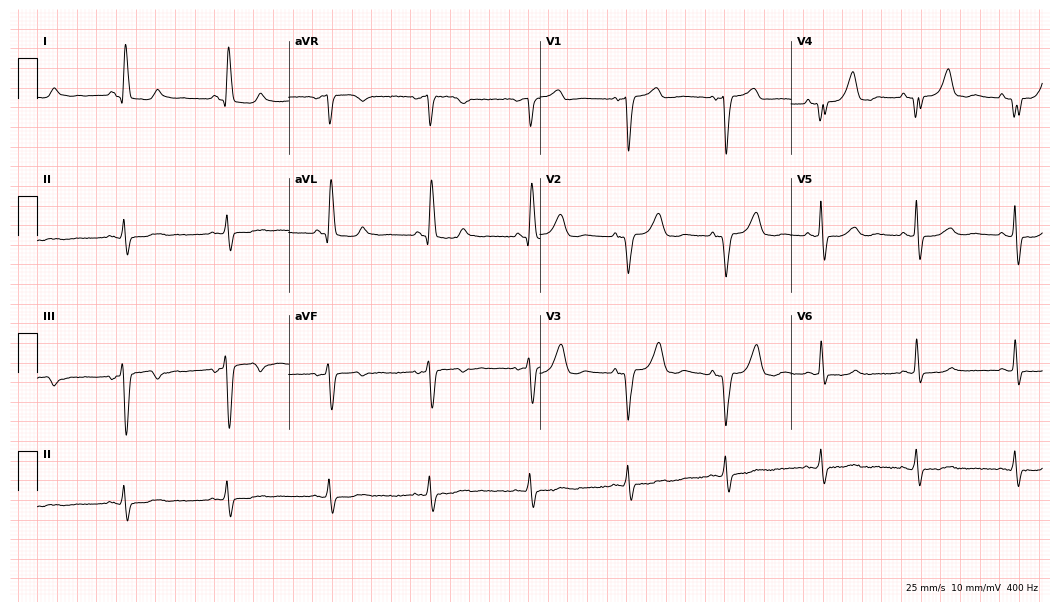
Electrocardiogram, a woman, 70 years old. Of the six screened findings (first-degree AV block, right bundle branch block, left bundle branch block, sinus bradycardia, atrial fibrillation, sinus tachycardia), none is recorded.